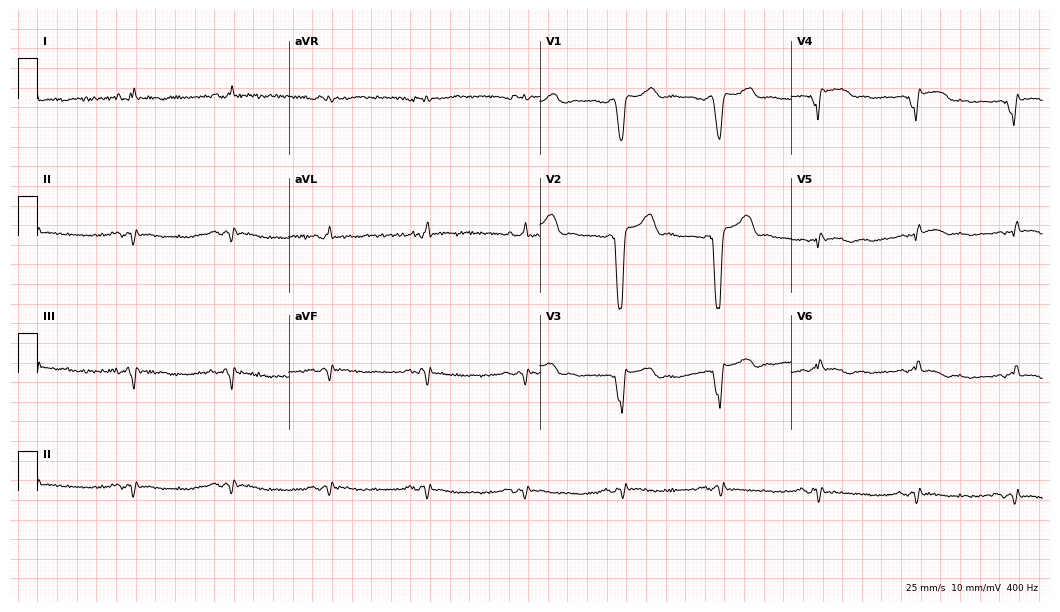
Resting 12-lead electrocardiogram (10.2-second recording at 400 Hz). Patient: a 47-year-old female. None of these six findings is recorded: first-degree AV block, right bundle branch block, left bundle branch block, sinus bradycardia, atrial fibrillation, sinus tachycardia. Other findings, if any, are not listed.